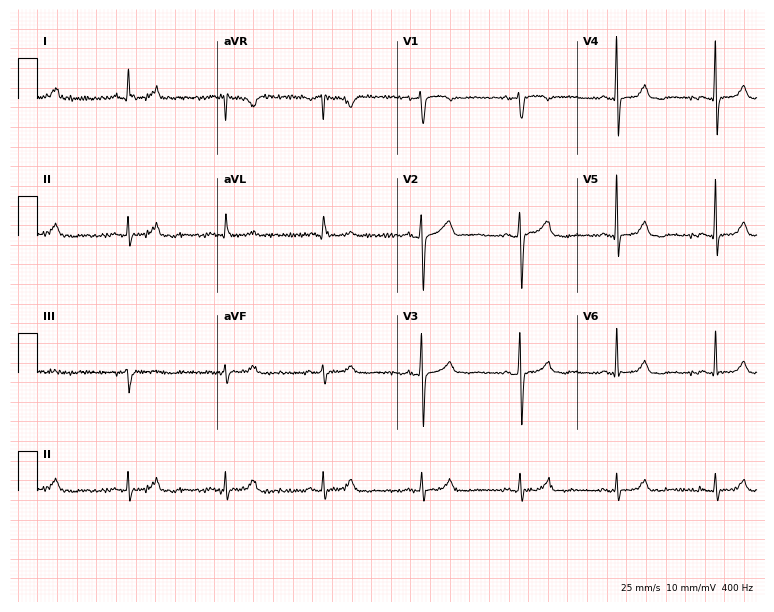
ECG (7.3-second recording at 400 Hz) — a 59-year-old female patient. Labelled as a normal ECG.